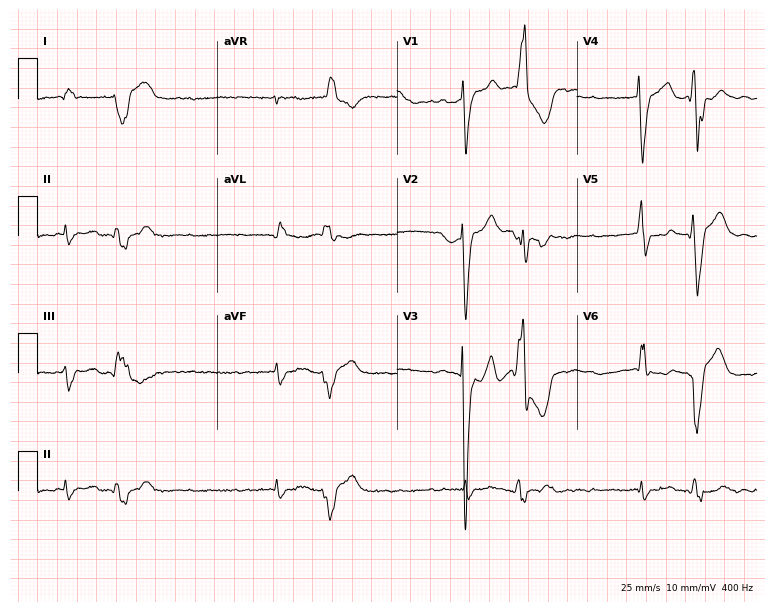
12-lead ECG (7.3-second recording at 400 Hz) from a 59-year-old male. Findings include first-degree AV block, left bundle branch block (LBBB), atrial fibrillation (AF).